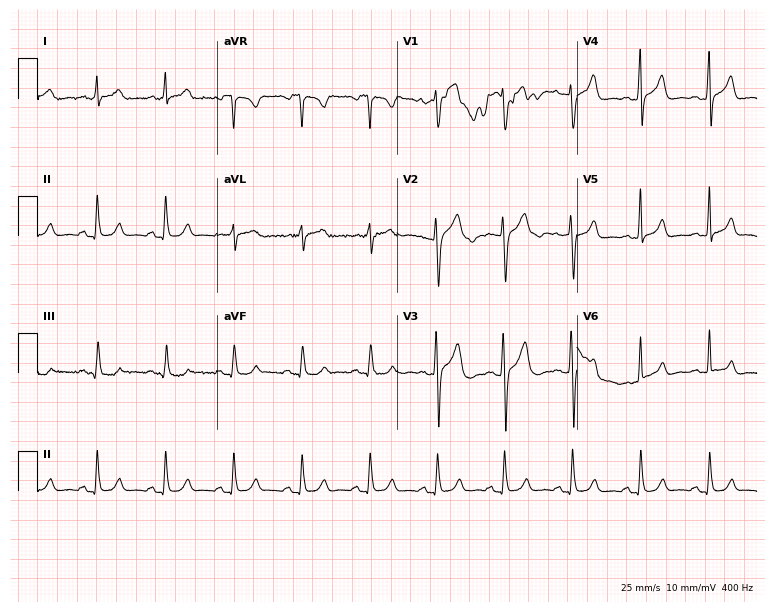
12-lead ECG from a 45-year-old male (7.3-second recording at 400 Hz). Recorded interpretation: within normal limits.